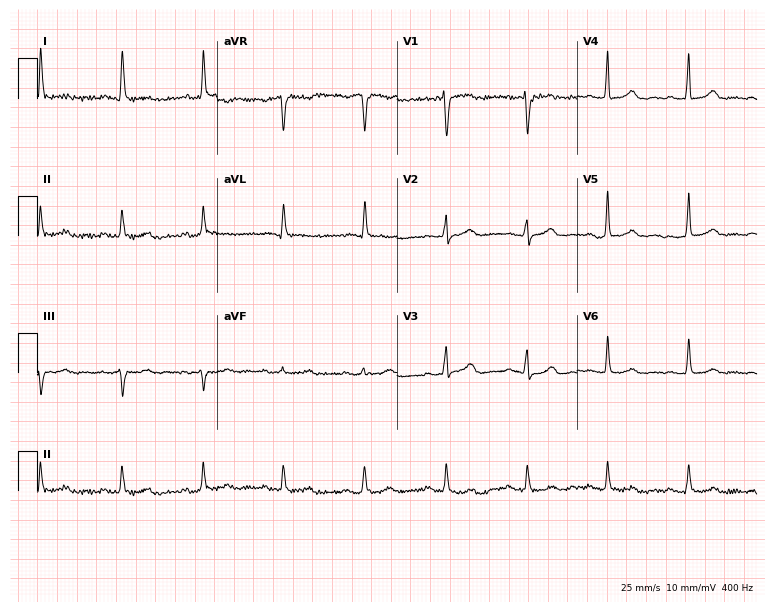
Resting 12-lead electrocardiogram. Patient: a female, 69 years old. None of these six findings is recorded: first-degree AV block, right bundle branch block, left bundle branch block, sinus bradycardia, atrial fibrillation, sinus tachycardia.